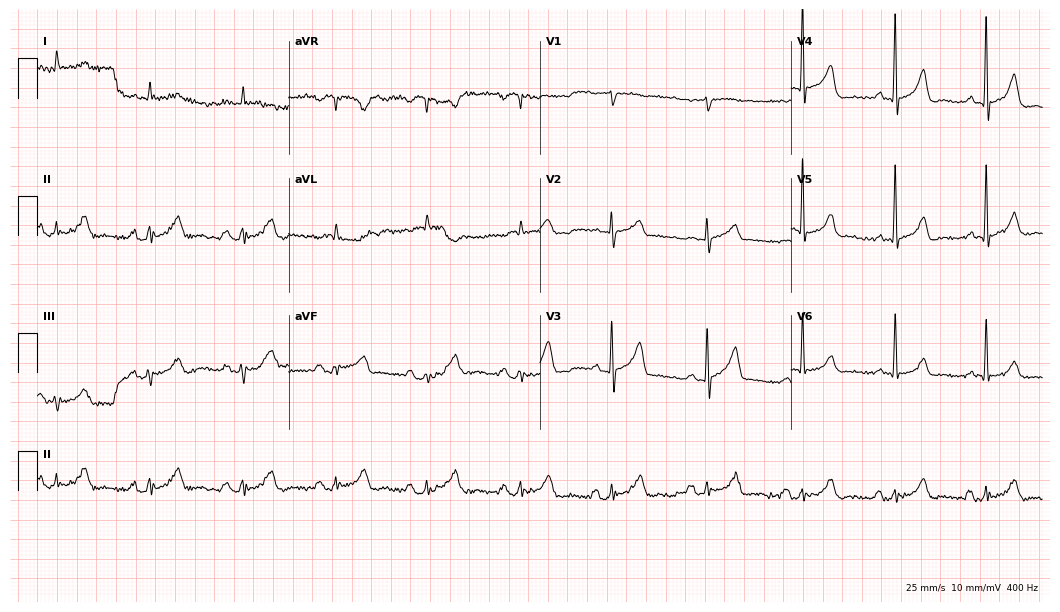
Electrocardiogram (10.2-second recording at 400 Hz), a 79-year-old man. Of the six screened findings (first-degree AV block, right bundle branch block, left bundle branch block, sinus bradycardia, atrial fibrillation, sinus tachycardia), none is recorded.